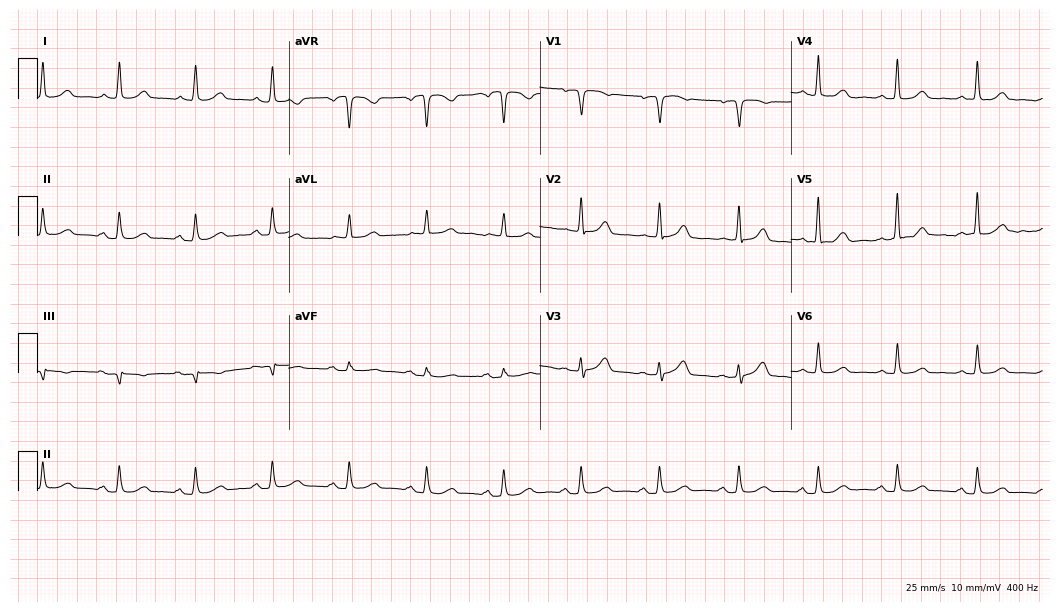
12-lead ECG from a female, 76 years old. Labelled as a normal ECG.